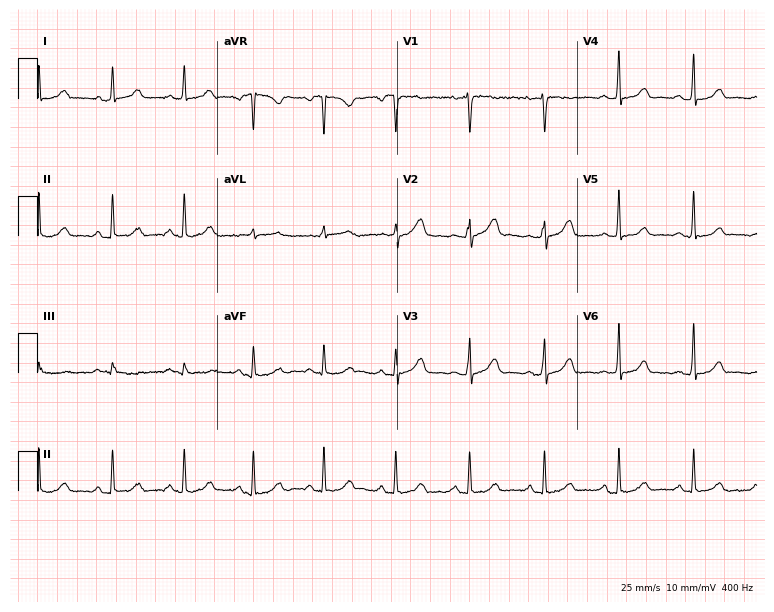
12-lead ECG (7.3-second recording at 400 Hz) from a woman, 53 years old. Labelled as a normal ECG.